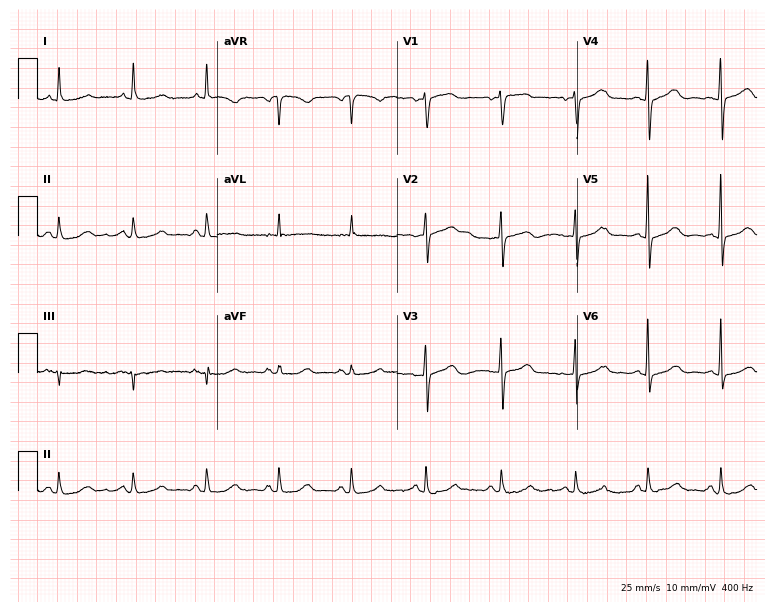
12-lead ECG from an 80-year-old woman. Recorded interpretation: within normal limits.